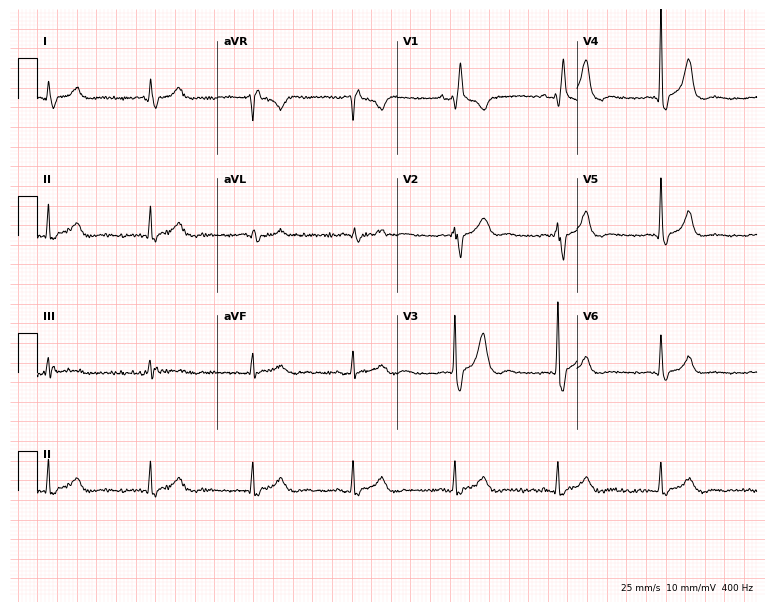
Electrocardiogram (7.3-second recording at 400 Hz), an 83-year-old man. Of the six screened findings (first-degree AV block, right bundle branch block, left bundle branch block, sinus bradycardia, atrial fibrillation, sinus tachycardia), none is recorded.